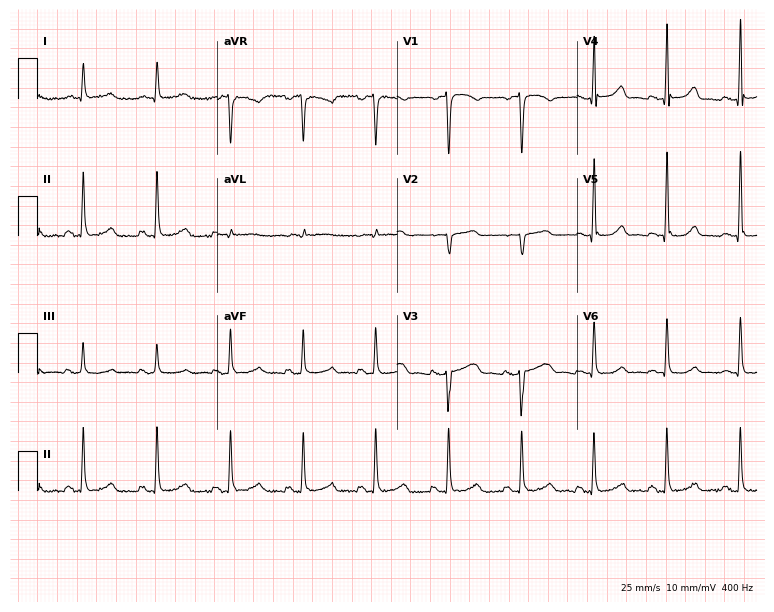
ECG (7.3-second recording at 400 Hz) — a female patient, 51 years old. Labelled as a normal ECG.